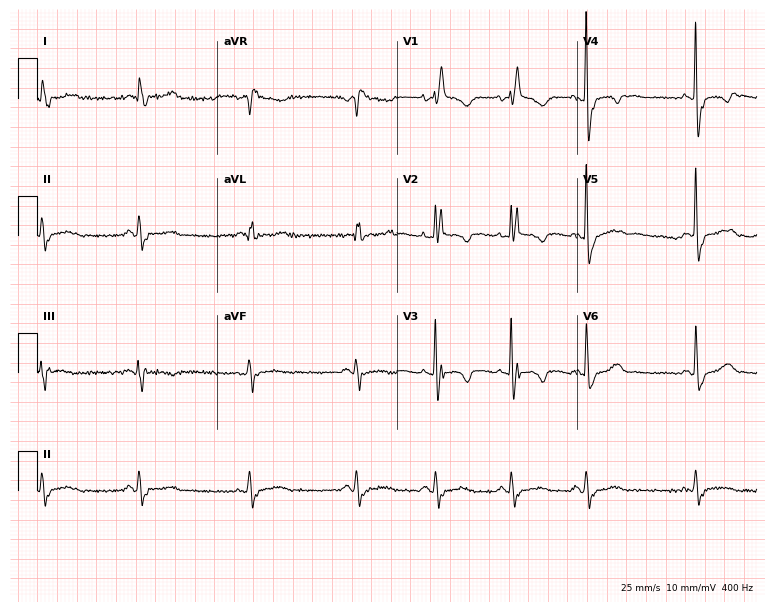
12-lead ECG from a 75-year-old female patient (7.3-second recording at 400 Hz). Shows right bundle branch block.